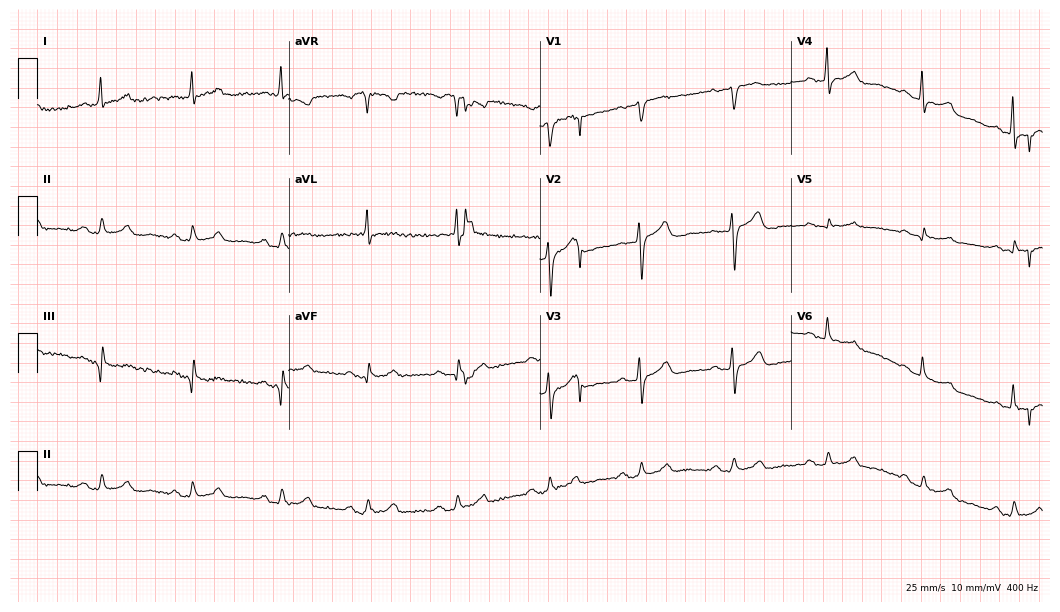
Electrocardiogram, a 76-year-old female patient. Overall reading on record: normal ECG.